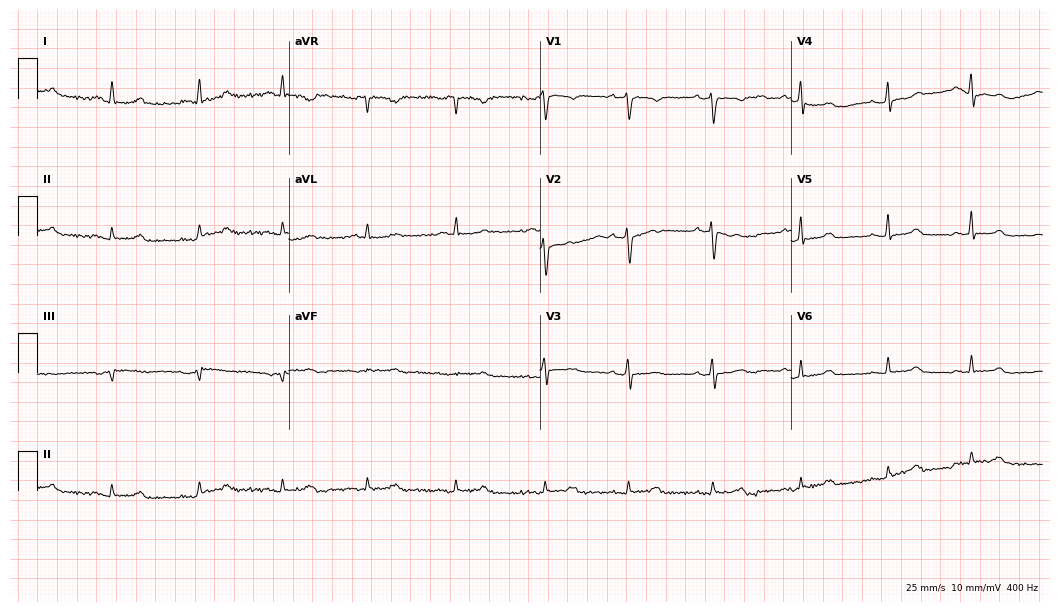
Resting 12-lead electrocardiogram (10.2-second recording at 400 Hz). Patient: a 52-year-old female. None of these six findings is recorded: first-degree AV block, right bundle branch block, left bundle branch block, sinus bradycardia, atrial fibrillation, sinus tachycardia. Only these six findings were labelled.